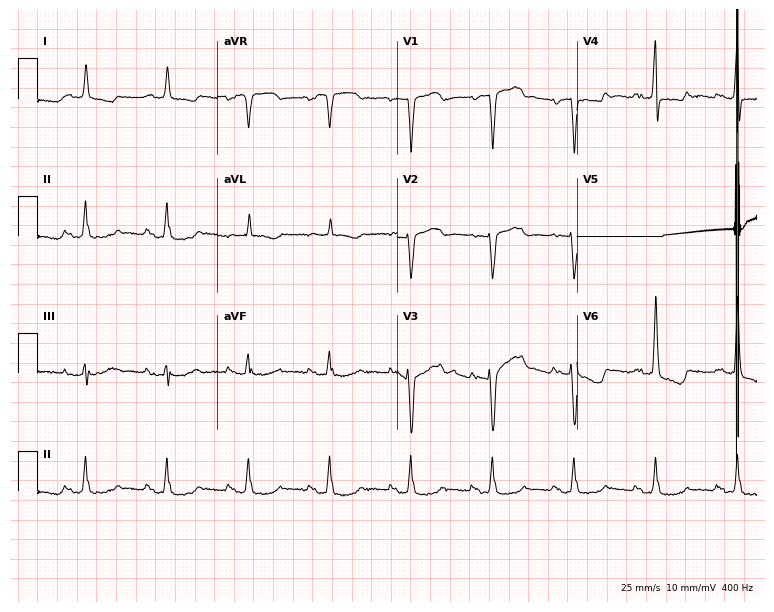
Electrocardiogram, a 72-year-old woman. Of the six screened findings (first-degree AV block, right bundle branch block, left bundle branch block, sinus bradycardia, atrial fibrillation, sinus tachycardia), none is recorded.